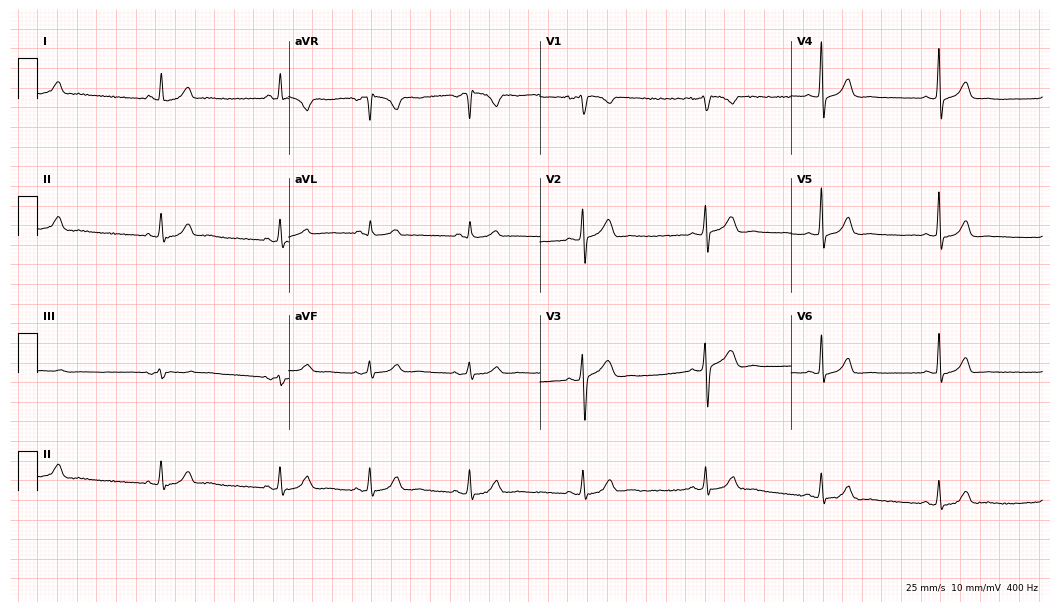
12-lead ECG from a woman, 35 years old (10.2-second recording at 400 Hz). Recorded interpretation: within normal limits.